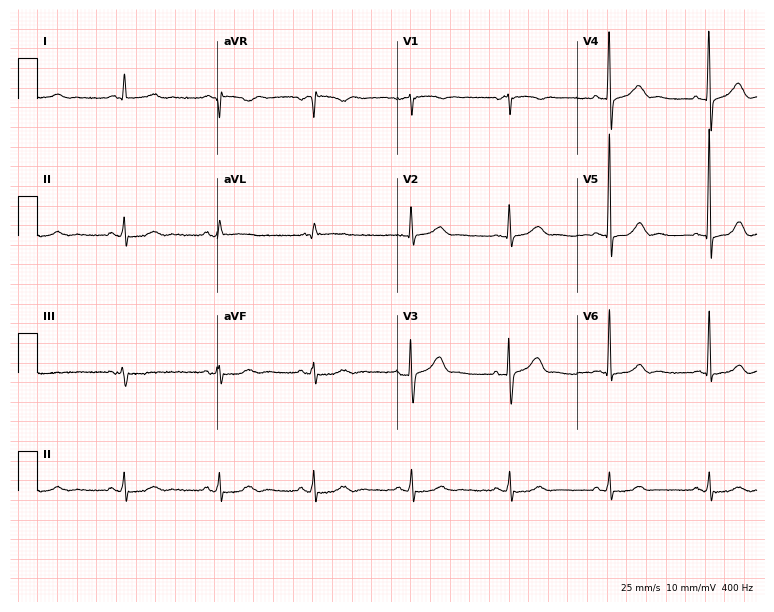
Standard 12-lead ECG recorded from a 60-year-old female patient (7.3-second recording at 400 Hz). None of these six findings is recorded: first-degree AV block, right bundle branch block, left bundle branch block, sinus bradycardia, atrial fibrillation, sinus tachycardia.